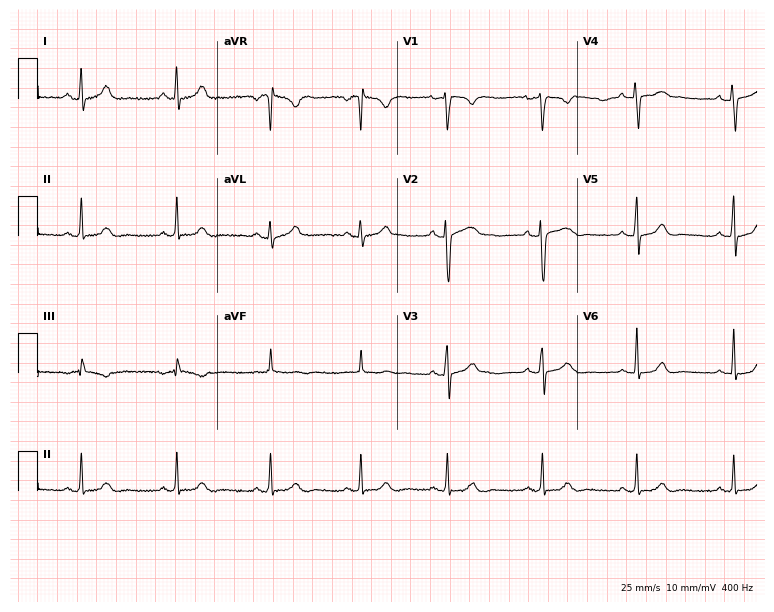
12-lead ECG from a 25-year-old woman (7.3-second recording at 400 Hz). No first-degree AV block, right bundle branch block, left bundle branch block, sinus bradycardia, atrial fibrillation or sinus tachycardia recorded for this tracing.